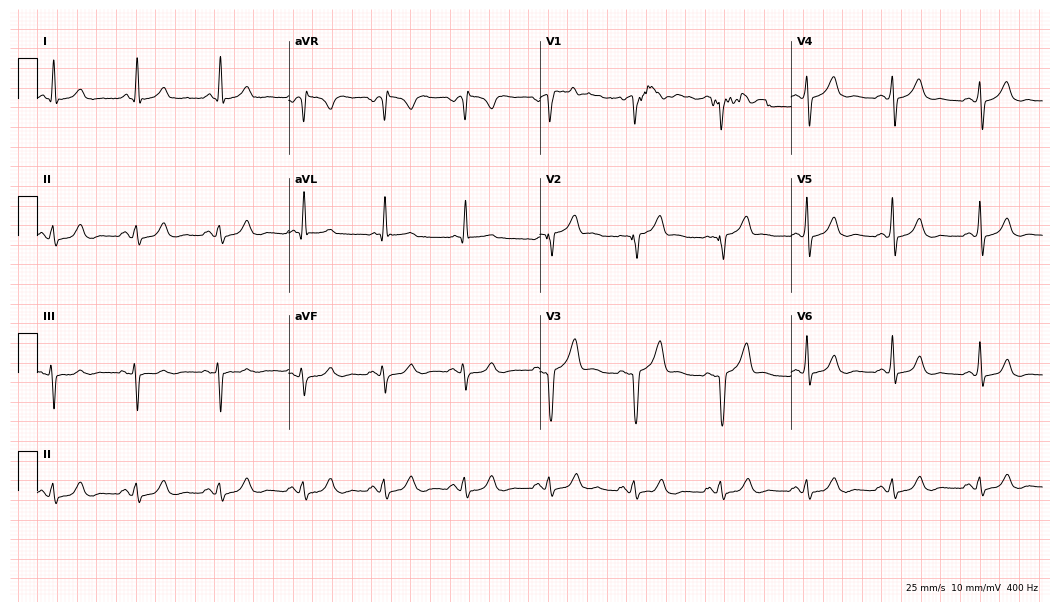
Electrocardiogram, a male, 62 years old. Of the six screened findings (first-degree AV block, right bundle branch block (RBBB), left bundle branch block (LBBB), sinus bradycardia, atrial fibrillation (AF), sinus tachycardia), none is recorded. Only these six findings were labelled.